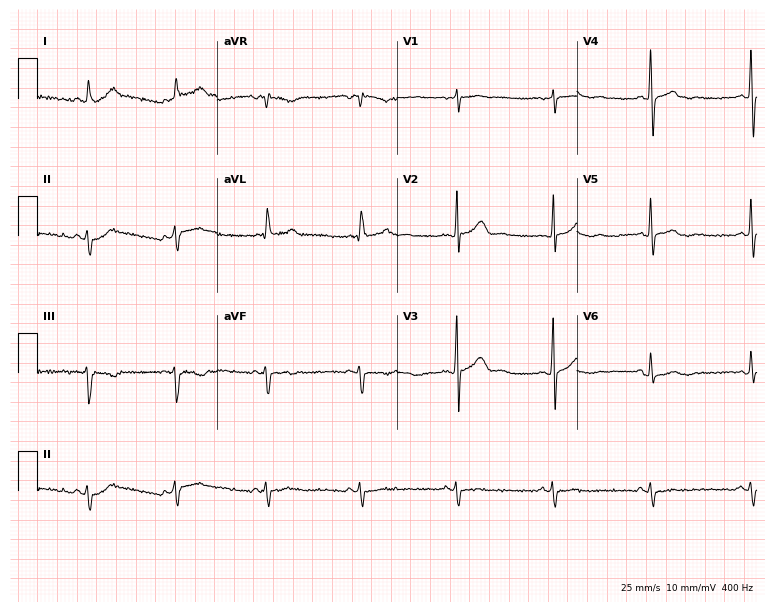
12-lead ECG (7.3-second recording at 400 Hz) from a 62-year-old man. Screened for six findings — first-degree AV block, right bundle branch block (RBBB), left bundle branch block (LBBB), sinus bradycardia, atrial fibrillation (AF), sinus tachycardia — none is recorded. Other findings, if any, are not listed.